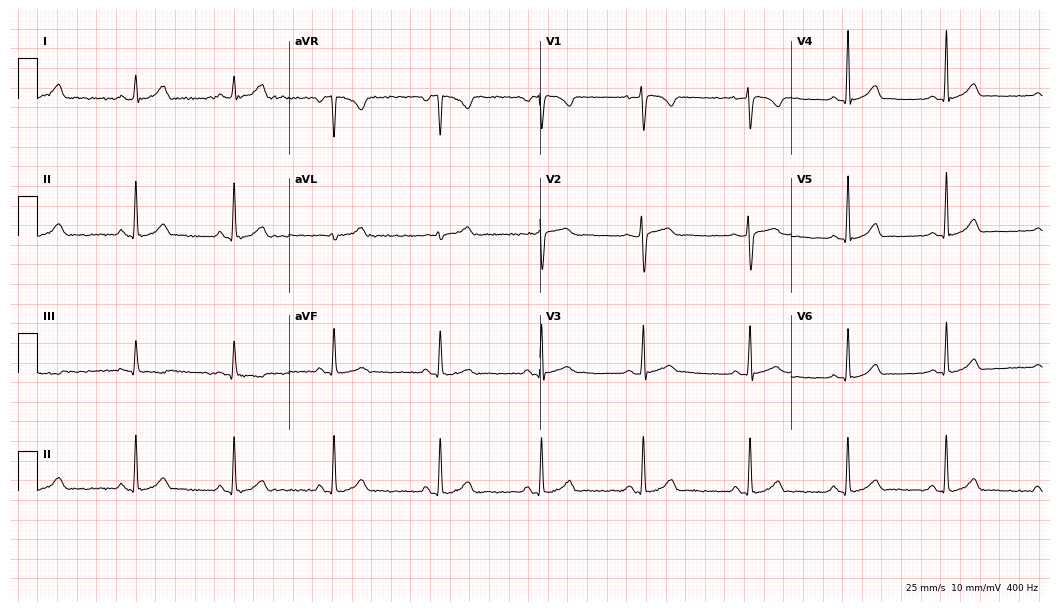
ECG (10.2-second recording at 400 Hz) — a 23-year-old male patient. Labelled as a normal ECG.